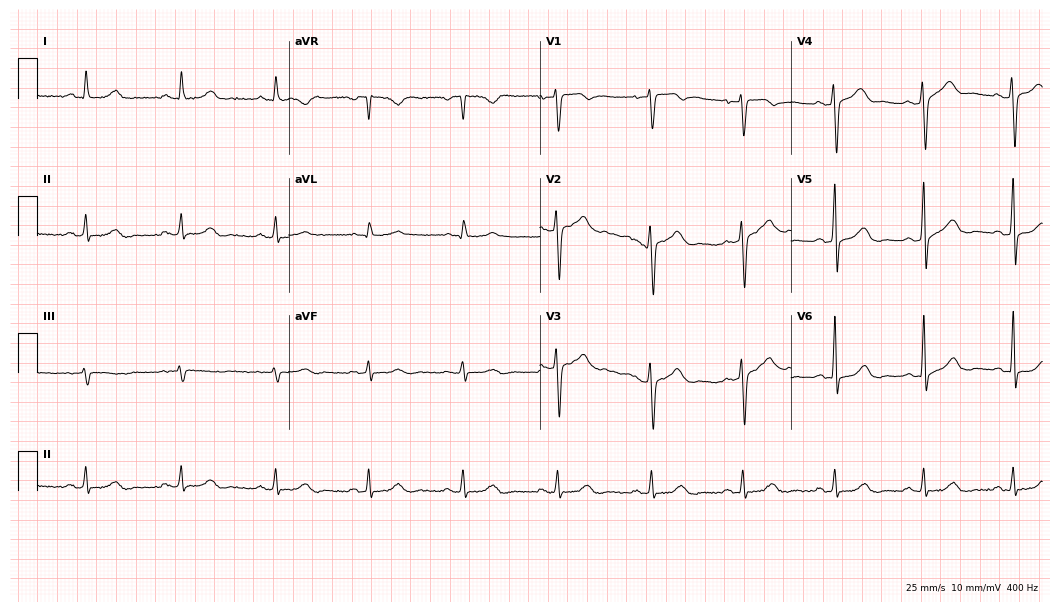
Electrocardiogram, a female patient, 63 years old. Overall reading on record: normal ECG.